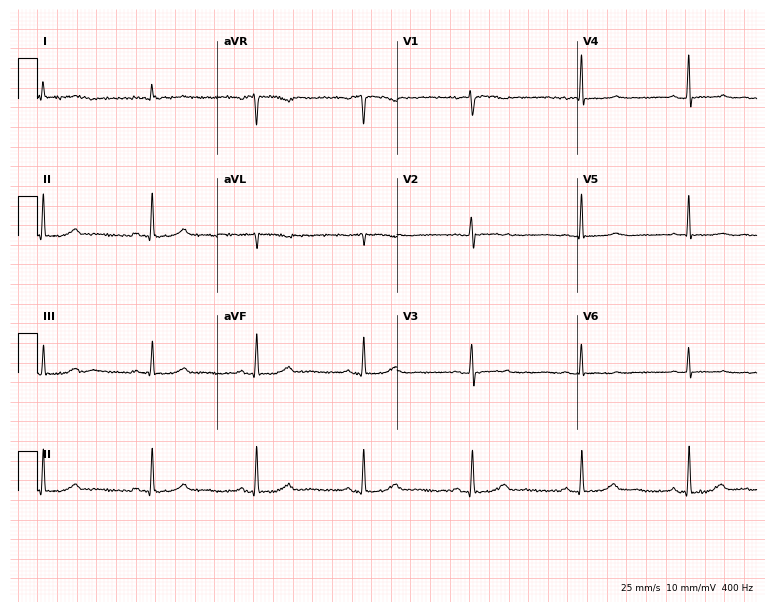
12-lead ECG (7.3-second recording at 400 Hz) from a 62-year-old woman. Screened for six findings — first-degree AV block, right bundle branch block (RBBB), left bundle branch block (LBBB), sinus bradycardia, atrial fibrillation (AF), sinus tachycardia — none is recorded.